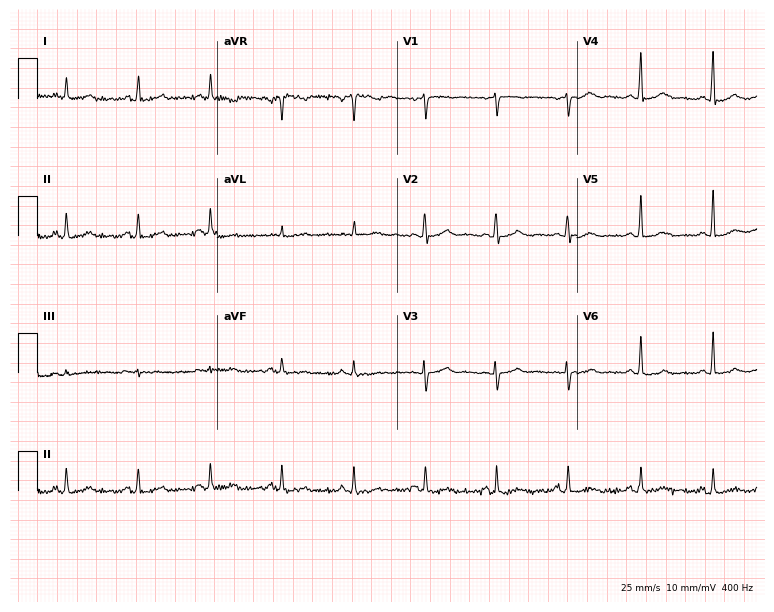
12-lead ECG from a 67-year-old female (7.3-second recording at 400 Hz). Recorded interpretation: within normal limits.